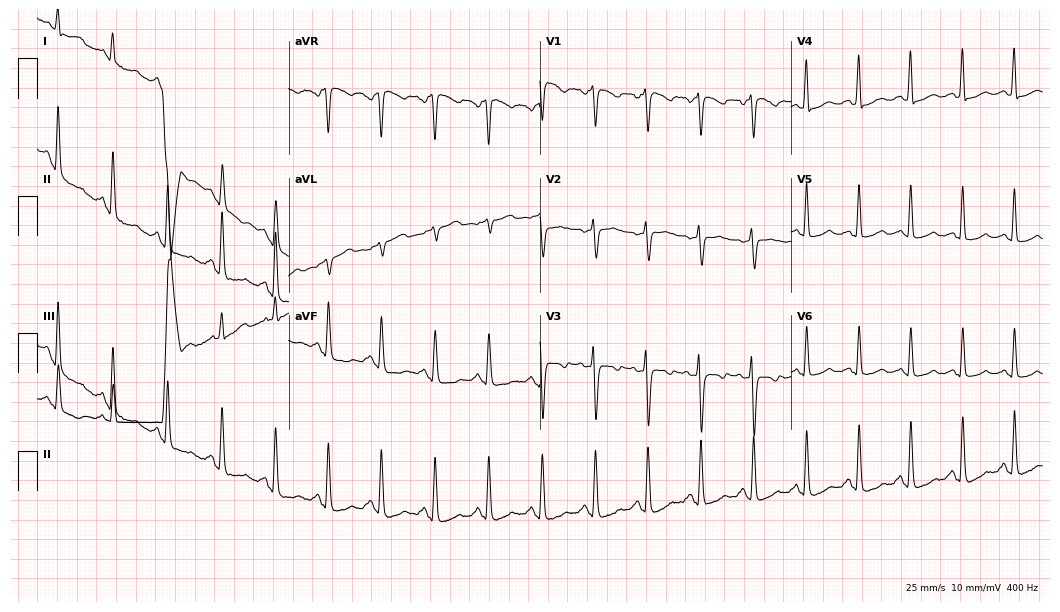
Resting 12-lead electrocardiogram (10.2-second recording at 400 Hz). Patient: a female, 31 years old. None of these six findings is recorded: first-degree AV block, right bundle branch block, left bundle branch block, sinus bradycardia, atrial fibrillation, sinus tachycardia.